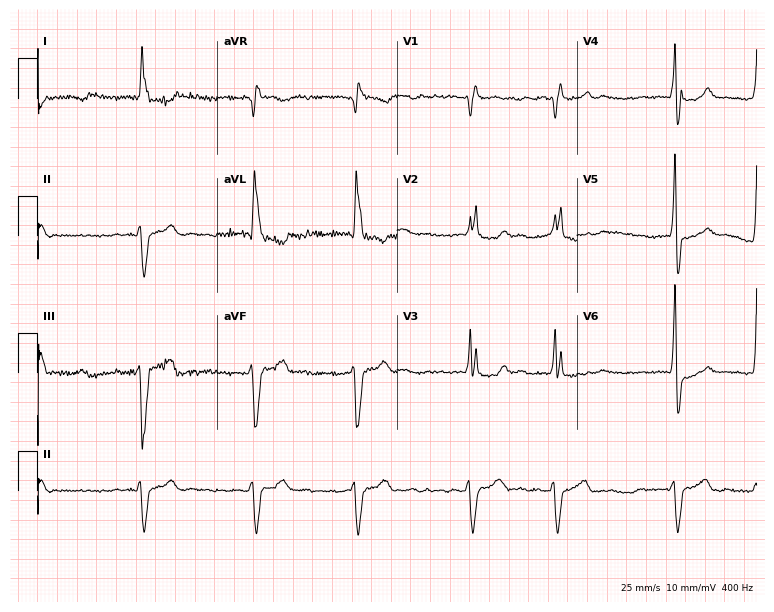
Resting 12-lead electrocardiogram (7.3-second recording at 400 Hz). Patient: an 82-year-old female. The tracing shows right bundle branch block, atrial fibrillation.